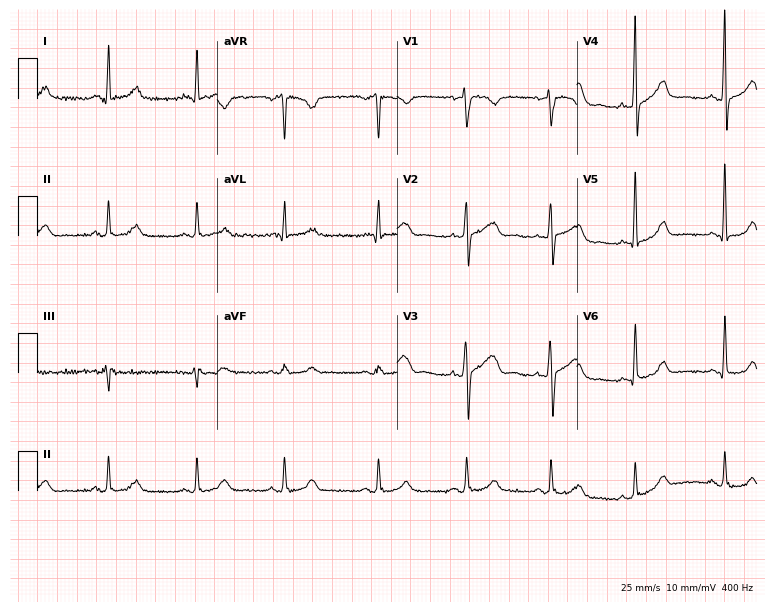
Standard 12-lead ECG recorded from a female, 42 years old. None of these six findings is recorded: first-degree AV block, right bundle branch block (RBBB), left bundle branch block (LBBB), sinus bradycardia, atrial fibrillation (AF), sinus tachycardia. Only these six findings were labelled.